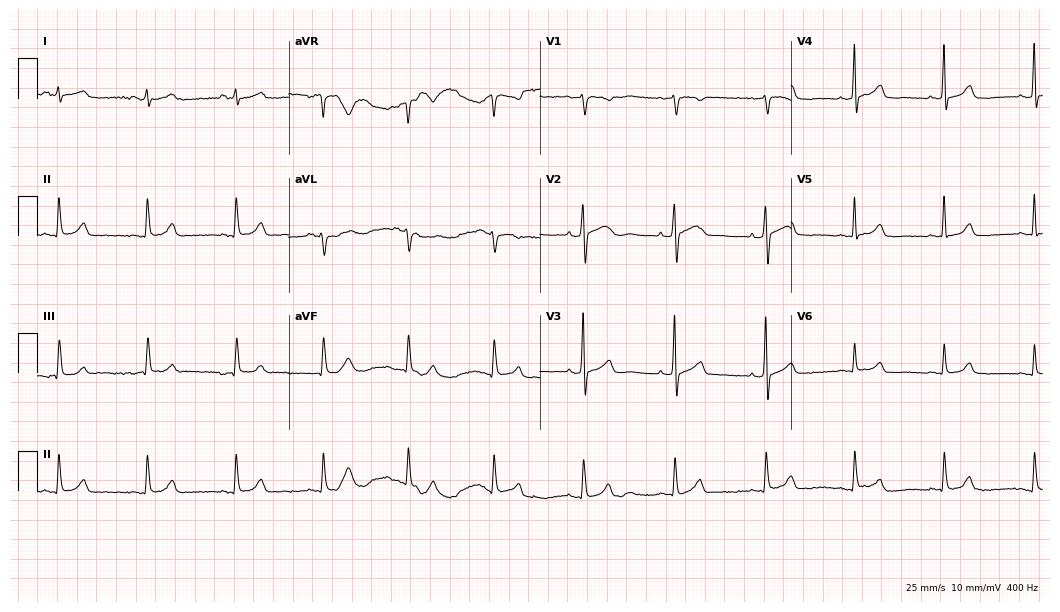
Electrocardiogram (10.2-second recording at 400 Hz), a male patient, 39 years old. Of the six screened findings (first-degree AV block, right bundle branch block, left bundle branch block, sinus bradycardia, atrial fibrillation, sinus tachycardia), none is recorded.